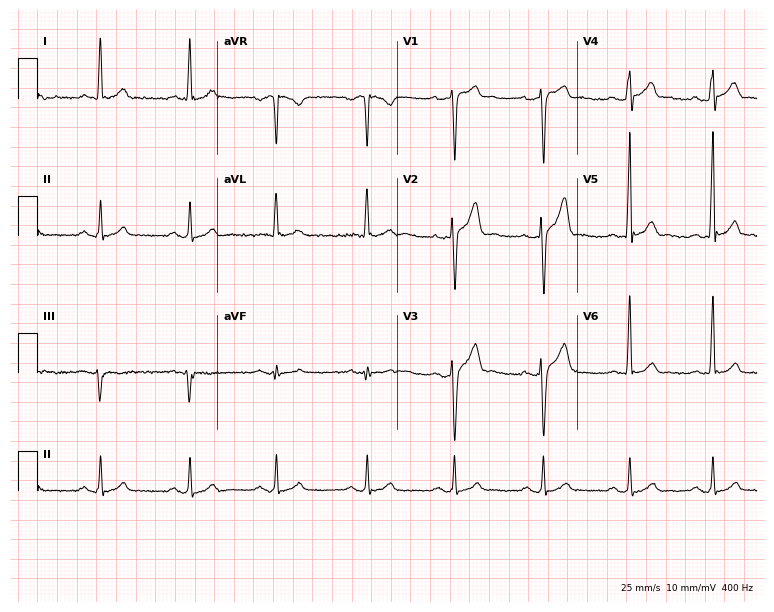
Standard 12-lead ECG recorded from a 37-year-old male (7.3-second recording at 400 Hz). Read as a normal ECG.